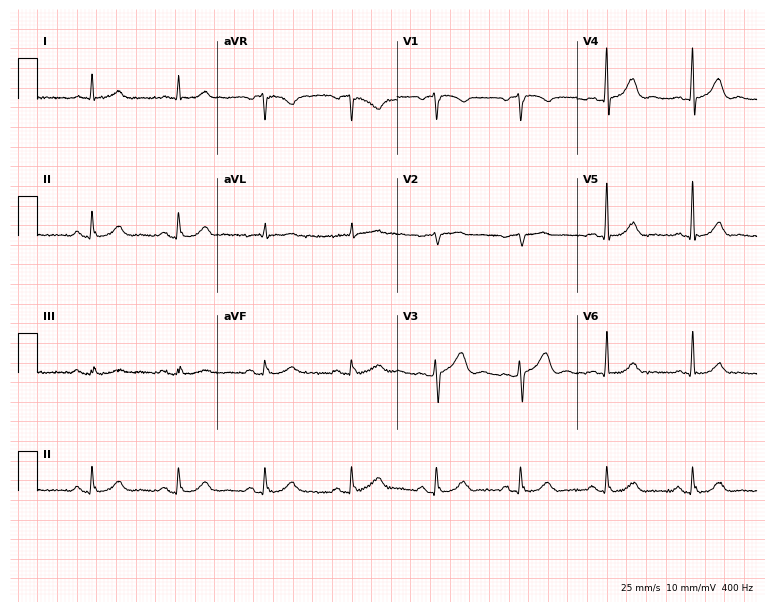
Resting 12-lead electrocardiogram. Patient: a male, 85 years old. Read as a normal ECG.